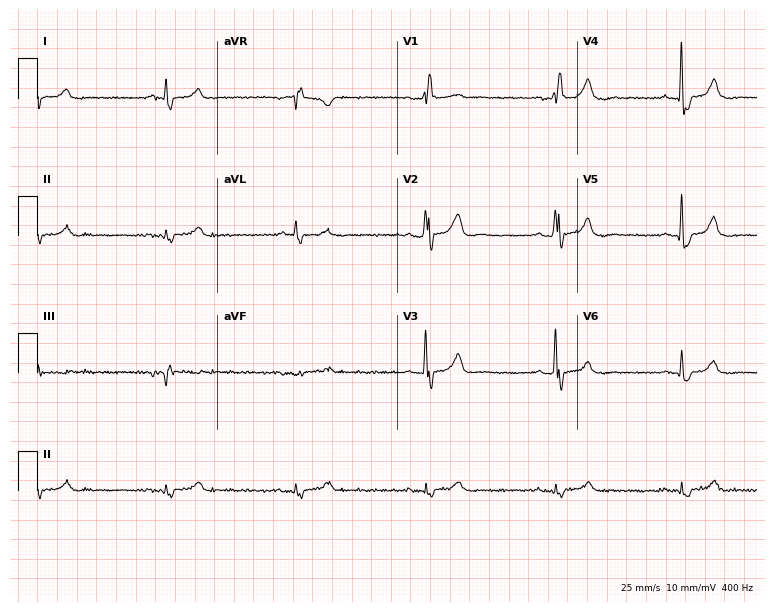
12-lead ECG from a 72-year-old male patient (7.3-second recording at 400 Hz). Shows right bundle branch block, sinus bradycardia (a sinus rate of 50 beats per minute or less).